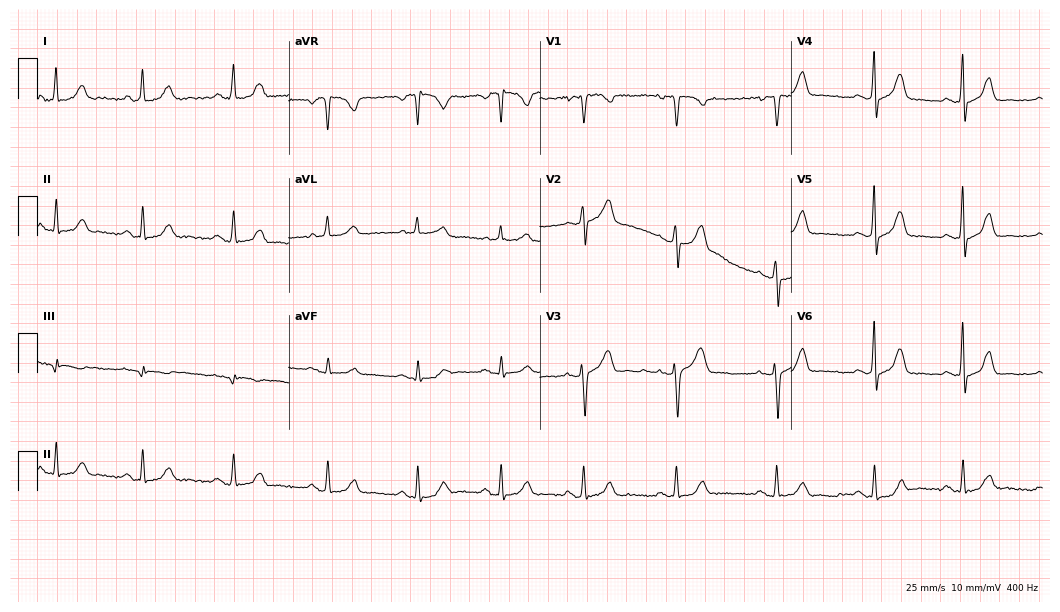
Standard 12-lead ECG recorded from a 40-year-old female patient. Read as a normal ECG.